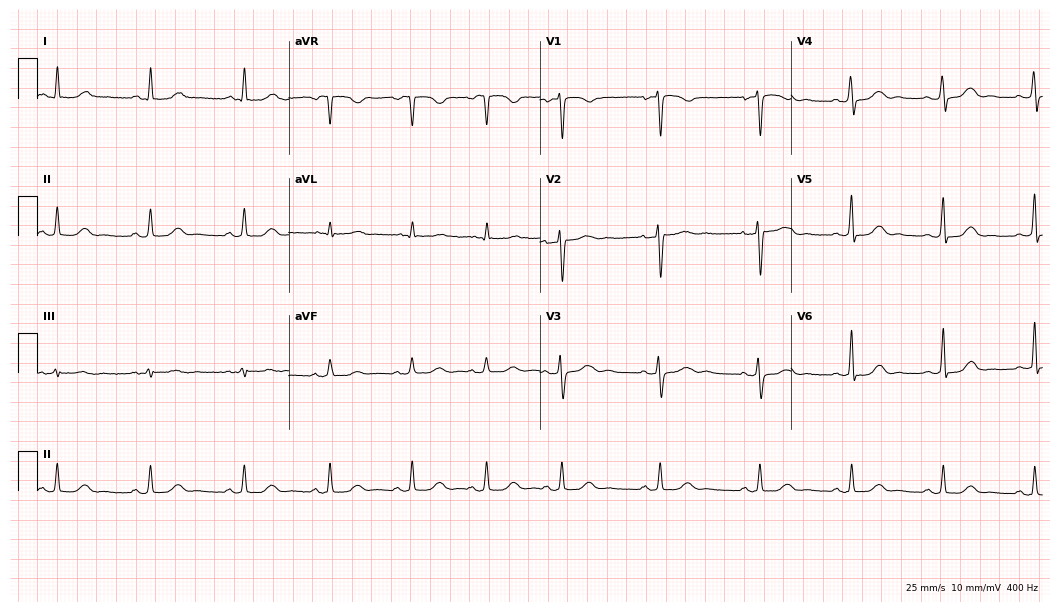
Standard 12-lead ECG recorded from a woman, 39 years old. None of these six findings is recorded: first-degree AV block, right bundle branch block, left bundle branch block, sinus bradycardia, atrial fibrillation, sinus tachycardia. Other findings, if any, are not listed.